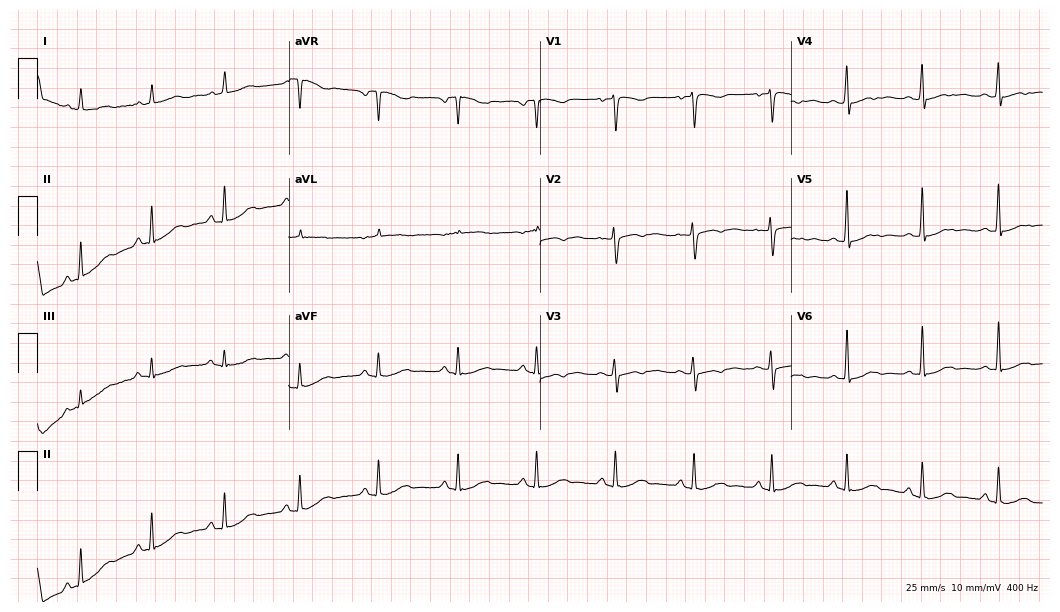
Resting 12-lead electrocardiogram (10.2-second recording at 400 Hz). Patient: a female, 47 years old. None of these six findings is recorded: first-degree AV block, right bundle branch block, left bundle branch block, sinus bradycardia, atrial fibrillation, sinus tachycardia. Only these six findings were labelled.